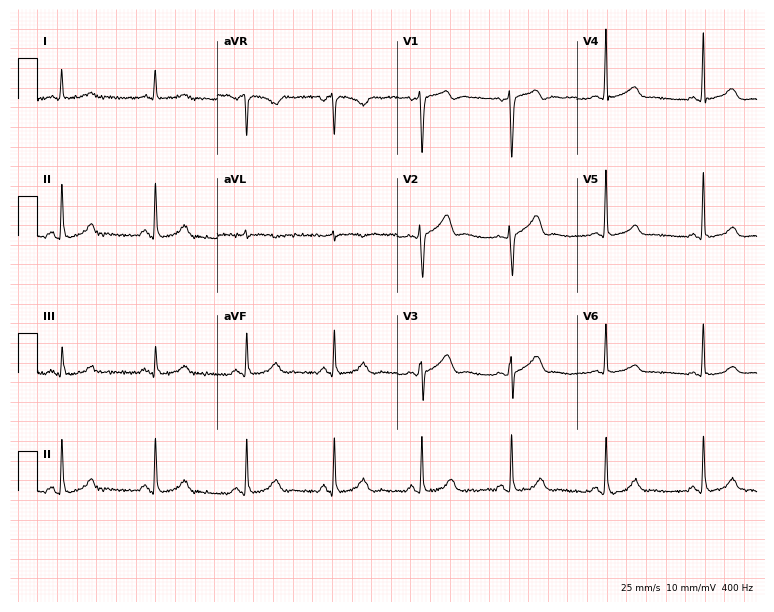
Electrocardiogram (7.3-second recording at 400 Hz), a 62-year-old male patient. Overall reading on record: normal ECG.